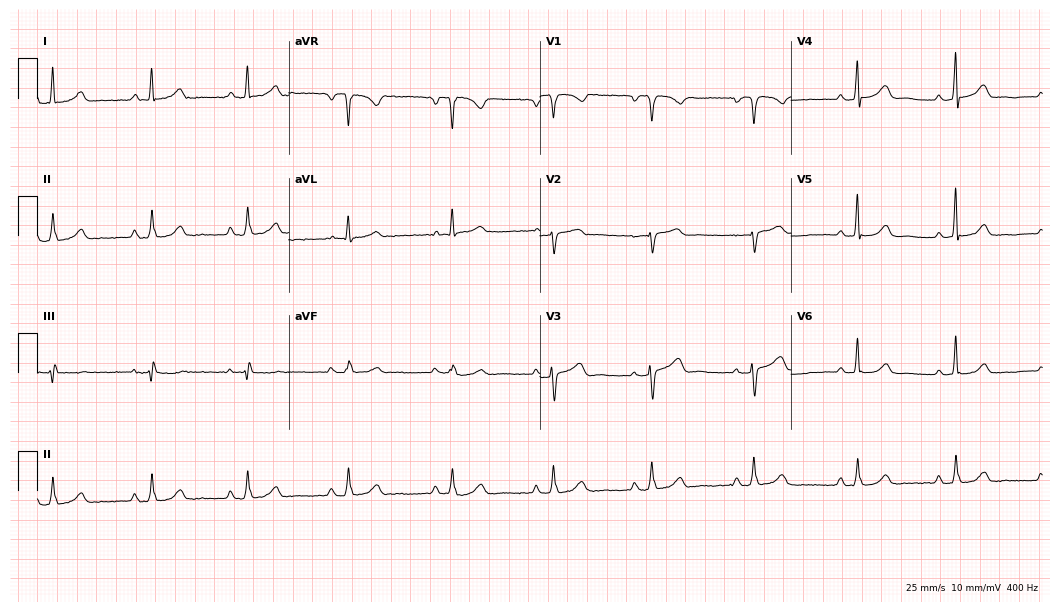
Resting 12-lead electrocardiogram (10.2-second recording at 400 Hz). Patient: a 54-year-old woman. Read as a normal ECG.